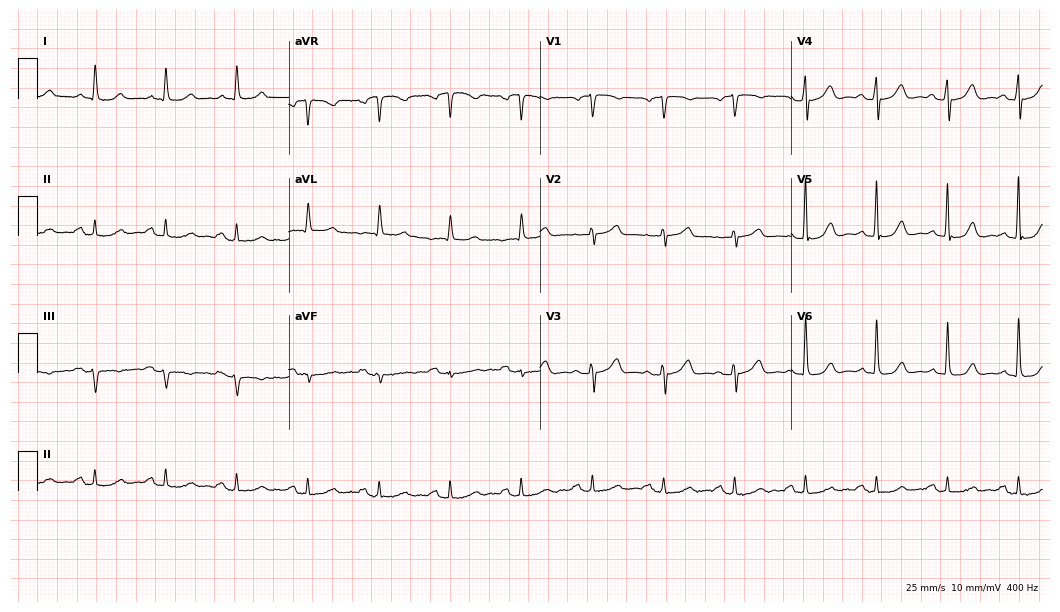
Electrocardiogram (10.2-second recording at 400 Hz), a woman, 80 years old. Of the six screened findings (first-degree AV block, right bundle branch block (RBBB), left bundle branch block (LBBB), sinus bradycardia, atrial fibrillation (AF), sinus tachycardia), none is recorded.